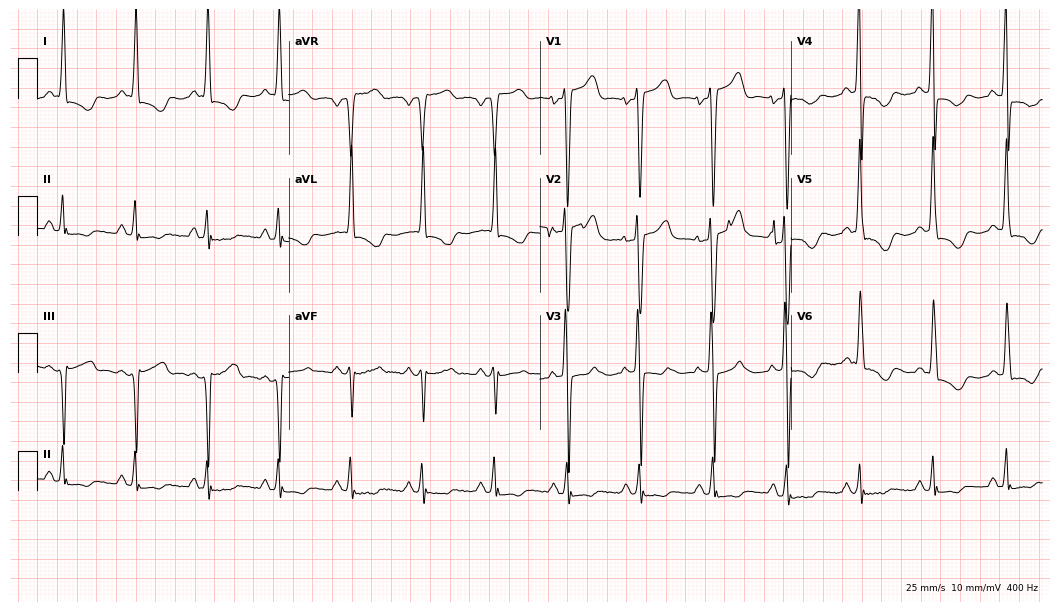
Standard 12-lead ECG recorded from a male patient, 42 years old (10.2-second recording at 400 Hz). None of these six findings is recorded: first-degree AV block, right bundle branch block (RBBB), left bundle branch block (LBBB), sinus bradycardia, atrial fibrillation (AF), sinus tachycardia. Findings outside these six are not listed.